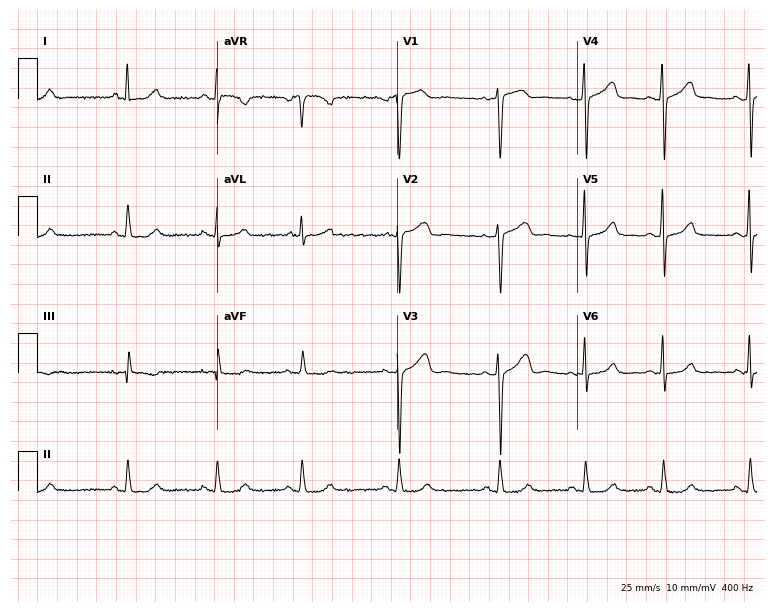
12-lead ECG from a female, 22 years old. Labelled as a normal ECG.